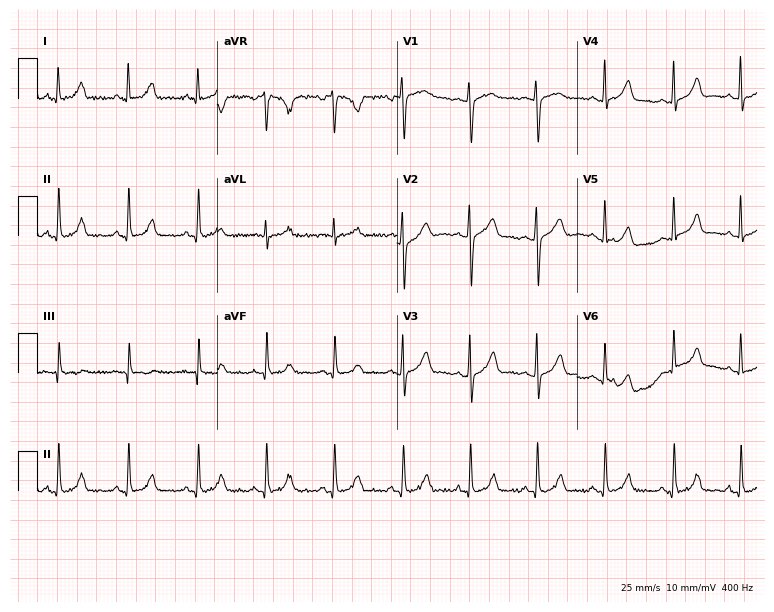
12-lead ECG from a 27-year-old female patient. Recorded interpretation: within normal limits.